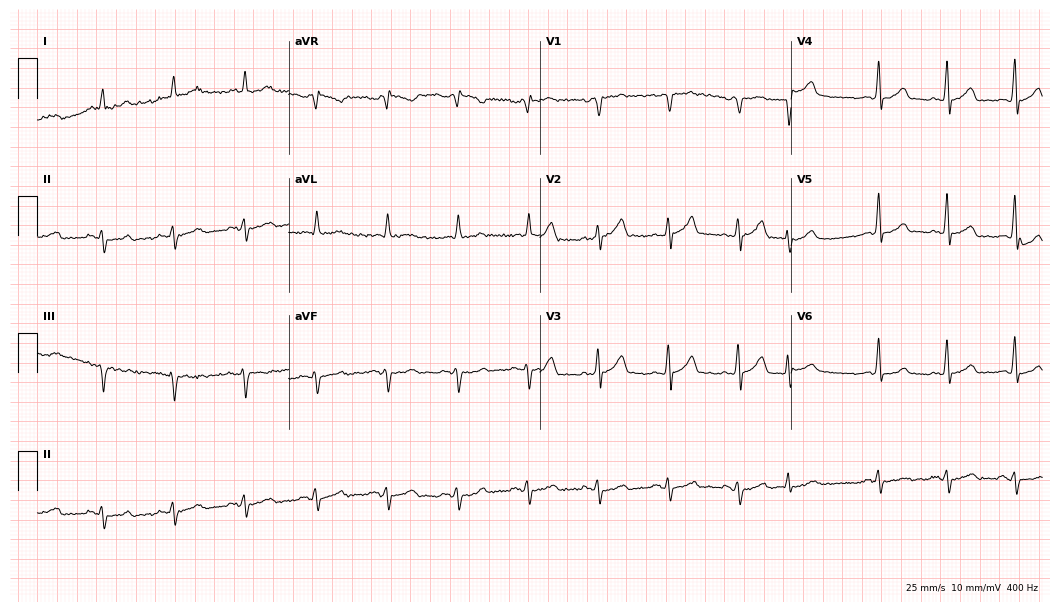
Resting 12-lead electrocardiogram. Patient: a 56-year-old male. Read as a normal ECG.